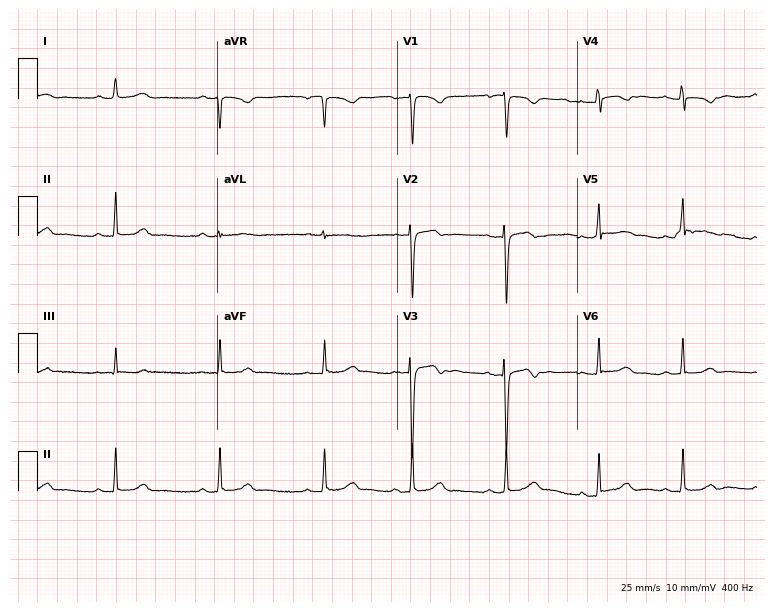
Standard 12-lead ECG recorded from a woman, 22 years old. None of these six findings is recorded: first-degree AV block, right bundle branch block, left bundle branch block, sinus bradycardia, atrial fibrillation, sinus tachycardia.